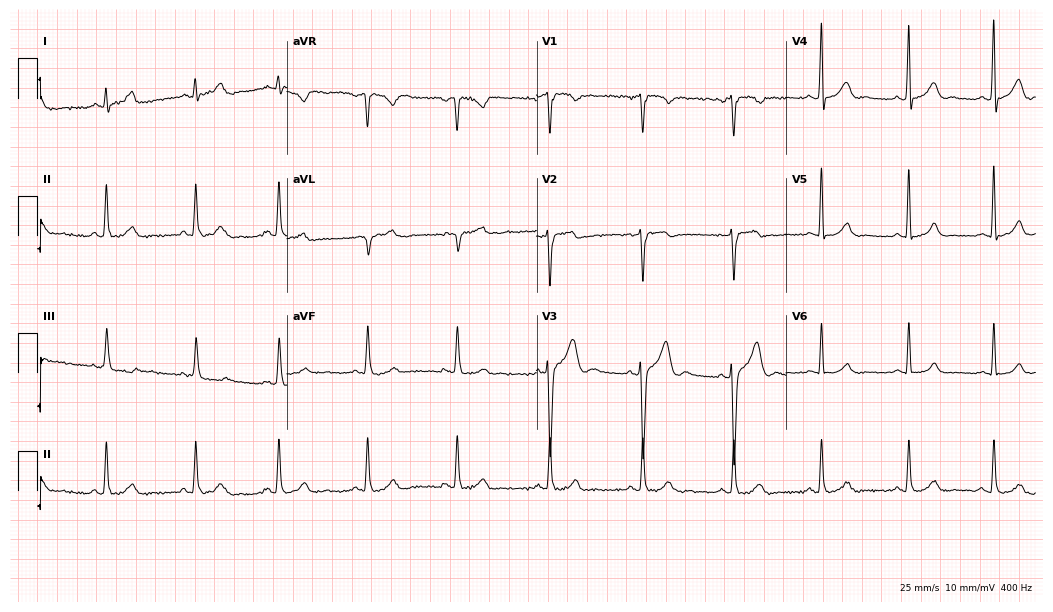
Standard 12-lead ECG recorded from a male patient, 35 years old (10.2-second recording at 400 Hz). Read as a normal ECG.